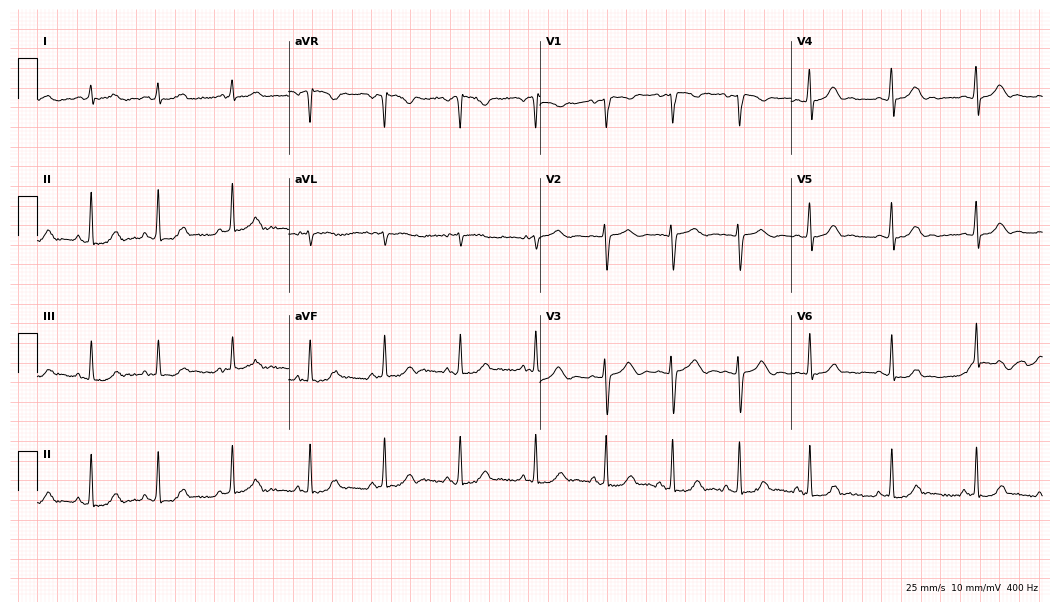
12-lead ECG (10.2-second recording at 400 Hz) from a 24-year-old female. Labelled as a normal ECG.